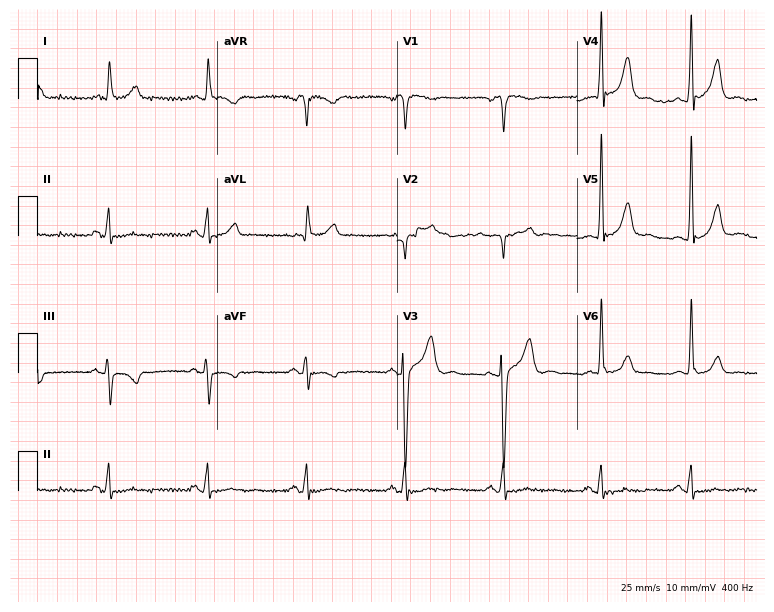
Electrocardiogram (7.3-second recording at 400 Hz), a male, 63 years old. Overall reading on record: normal ECG.